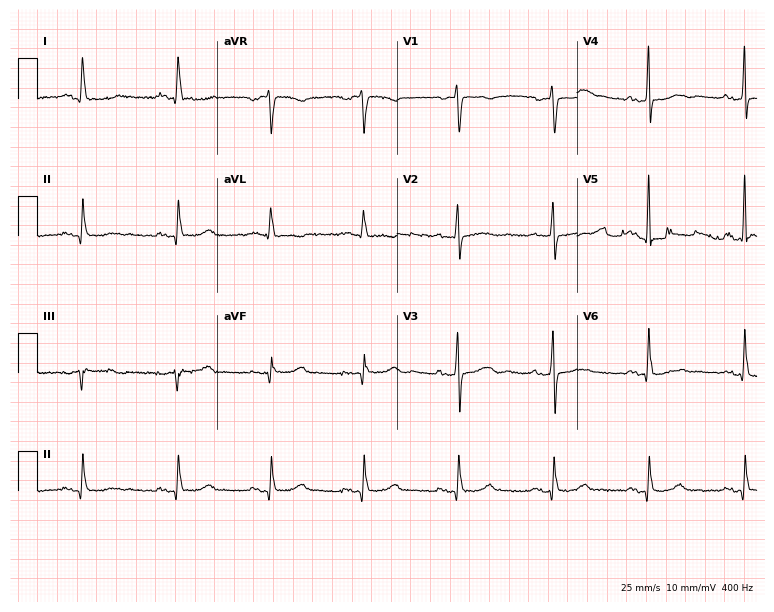
ECG (7.3-second recording at 400 Hz) — a 70-year-old female. Screened for six findings — first-degree AV block, right bundle branch block, left bundle branch block, sinus bradycardia, atrial fibrillation, sinus tachycardia — none is recorded.